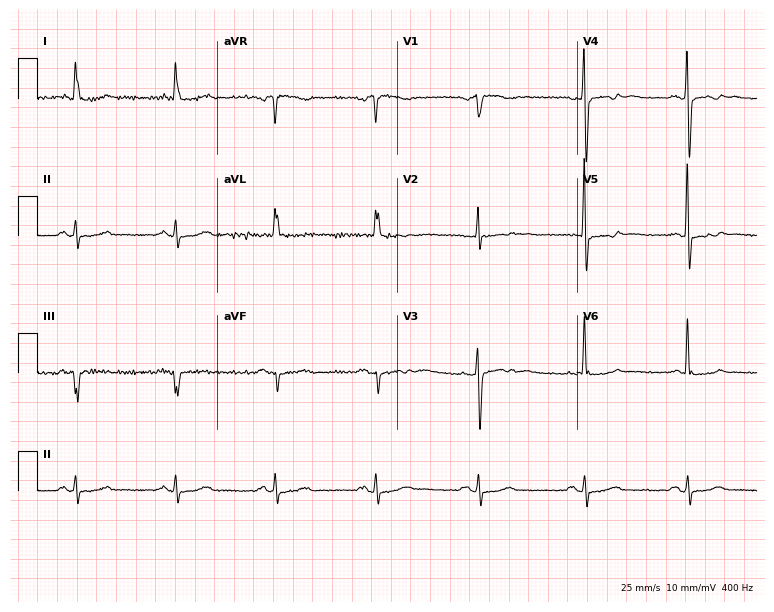
Standard 12-lead ECG recorded from an 82-year-old woman (7.3-second recording at 400 Hz). None of these six findings is recorded: first-degree AV block, right bundle branch block (RBBB), left bundle branch block (LBBB), sinus bradycardia, atrial fibrillation (AF), sinus tachycardia. Other findings, if any, are not listed.